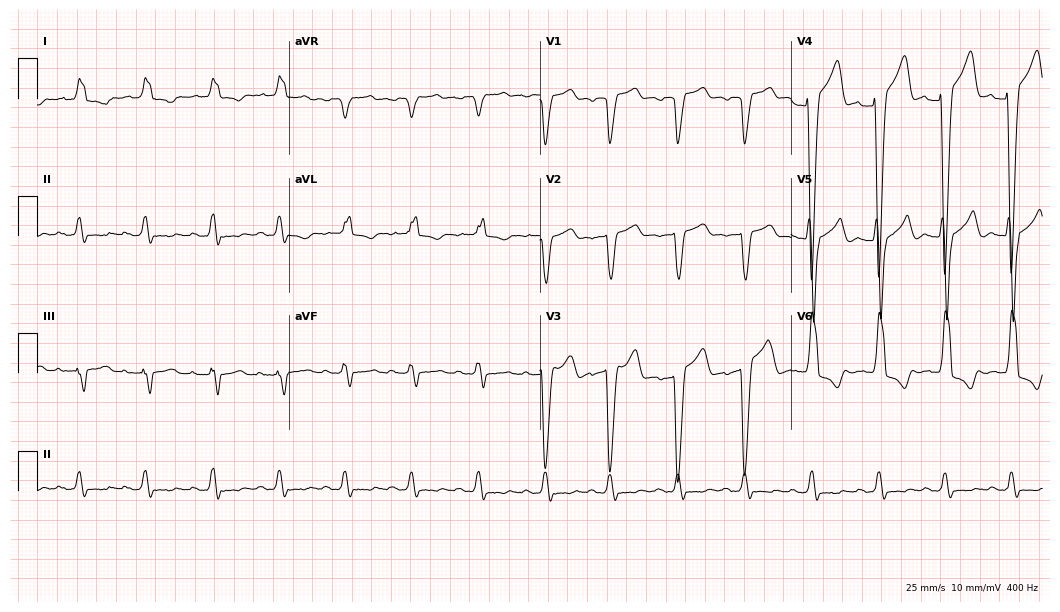
12-lead ECG from an 84-year-old male patient. Shows left bundle branch block.